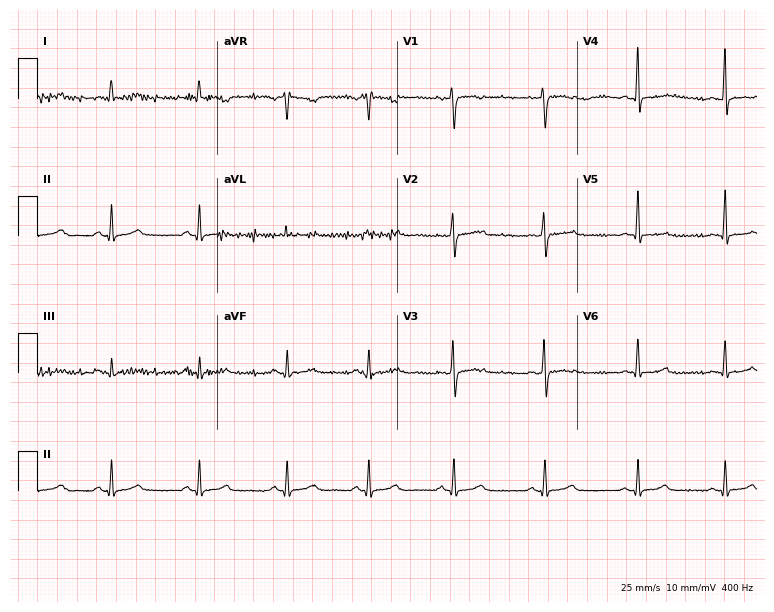
12-lead ECG from a 28-year-old female. No first-degree AV block, right bundle branch block, left bundle branch block, sinus bradycardia, atrial fibrillation or sinus tachycardia recorded for this tracing. Findings outside these six are not listed.